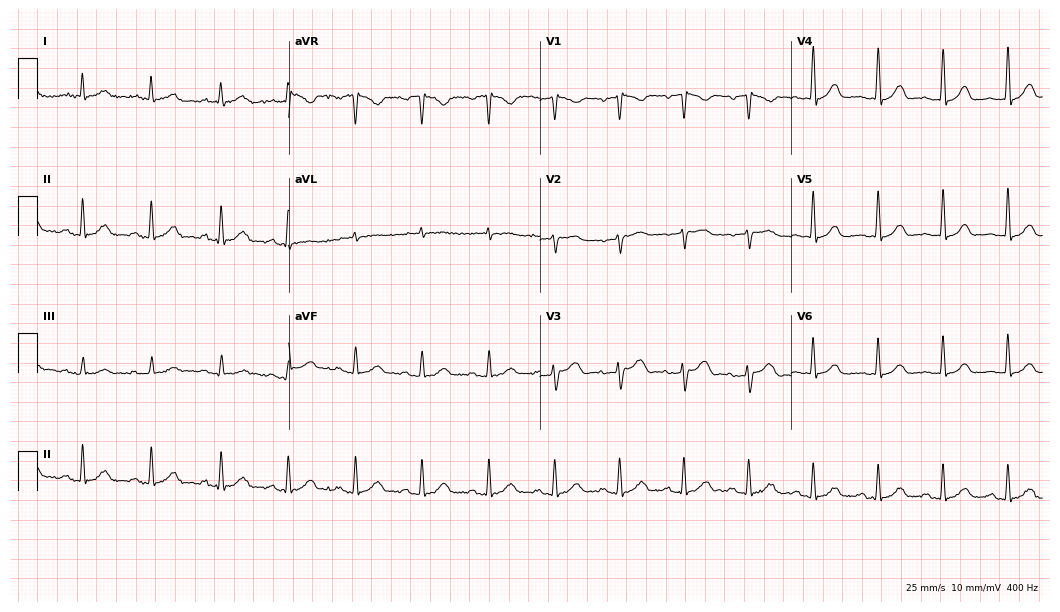
Electrocardiogram, a man, 47 years old. Overall reading on record: normal ECG.